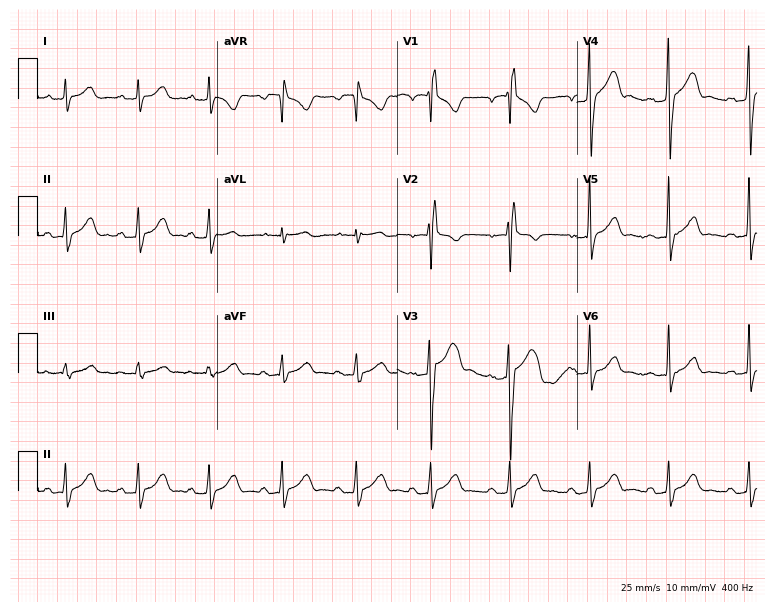
Electrocardiogram (7.3-second recording at 400 Hz), a 26-year-old male. Of the six screened findings (first-degree AV block, right bundle branch block (RBBB), left bundle branch block (LBBB), sinus bradycardia, atrial fibrillation (AF), sinus tachycardia), none is recorded.